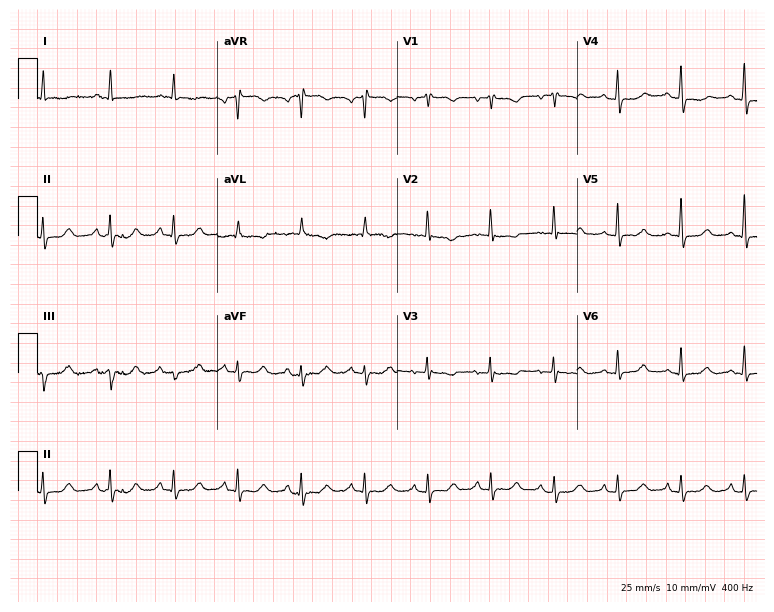
Standard 12-lead ECG recorded from a woman, 65 years old (7.3-second recording at 400 Hz). None of these six findings is recorded: first-degree AV block, right bundle branch block, left bundle branch block, sinus bradycardia, atrial fibrillation, sinus tachycardia.